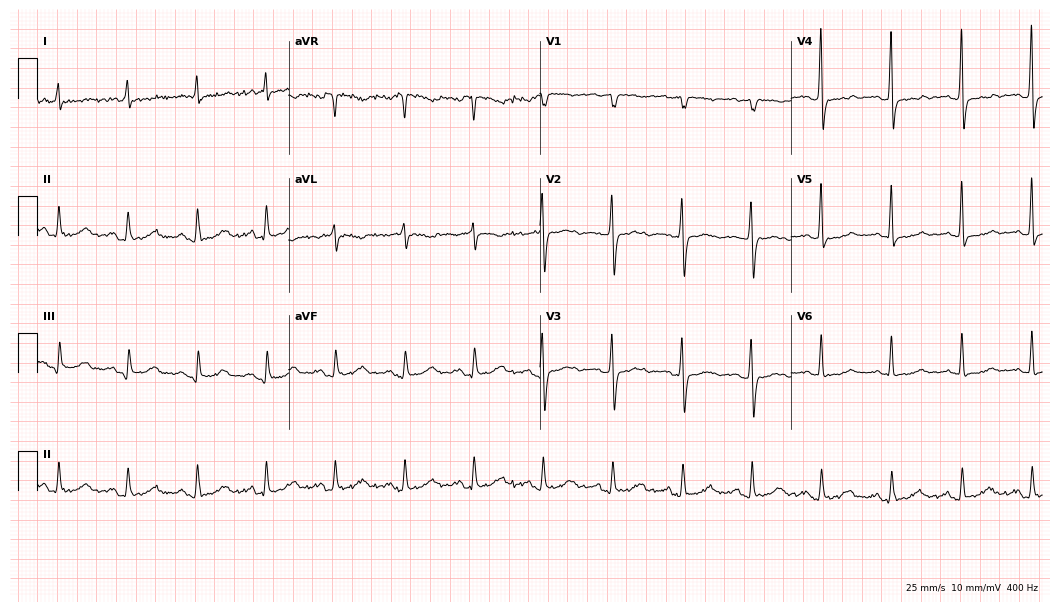
Resting 12-lead electrocardiogram (10.2-second recording at 400 Hz). Patient: a 79-year-old woman. None of these six findings is recorded: first-degree AV block, right bundle branch block, left bundle branch block, sinus bradycardia, atrial fibrillation, sinus tachycardia. Only these six findings were labelled.